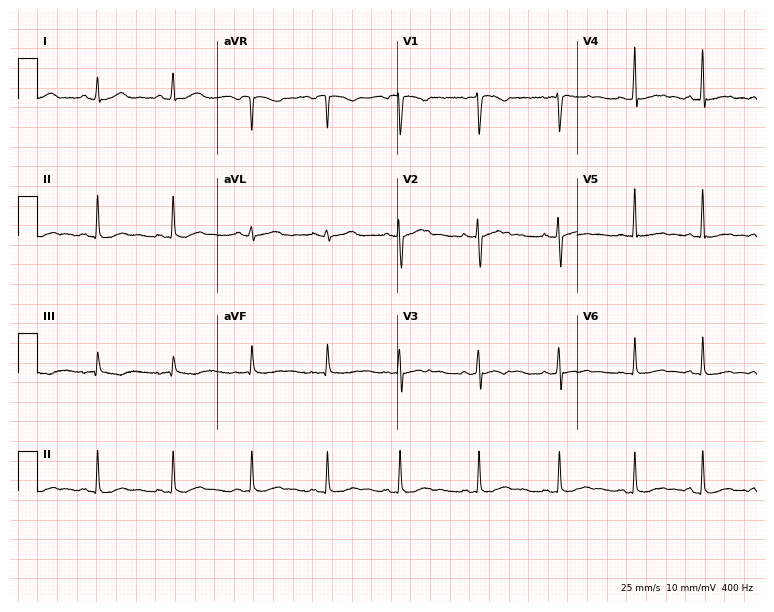
Resting 12-lead electrocardiogram (7.3-second recording at 400 Hz). Patient: a woman, 22 years old. None of these six findings is recorded: first-degree AV block, right bundle branch block, left bundle branch block, sinus bradycardia, atrial fibrillation, sinus tachycardia.